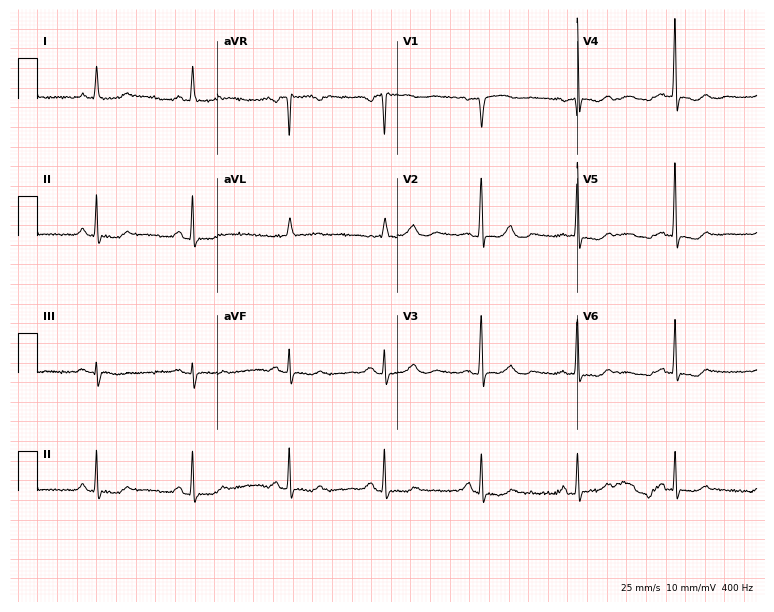
Resting 12-lead electrocardiogram. Patient: a female, 78 years old. None of these six findings is recorded: first-degree AV block, right bundle branch block, left bundle branch block, sinus bradycardia, atrial fibrillation, sinus tachycardia.